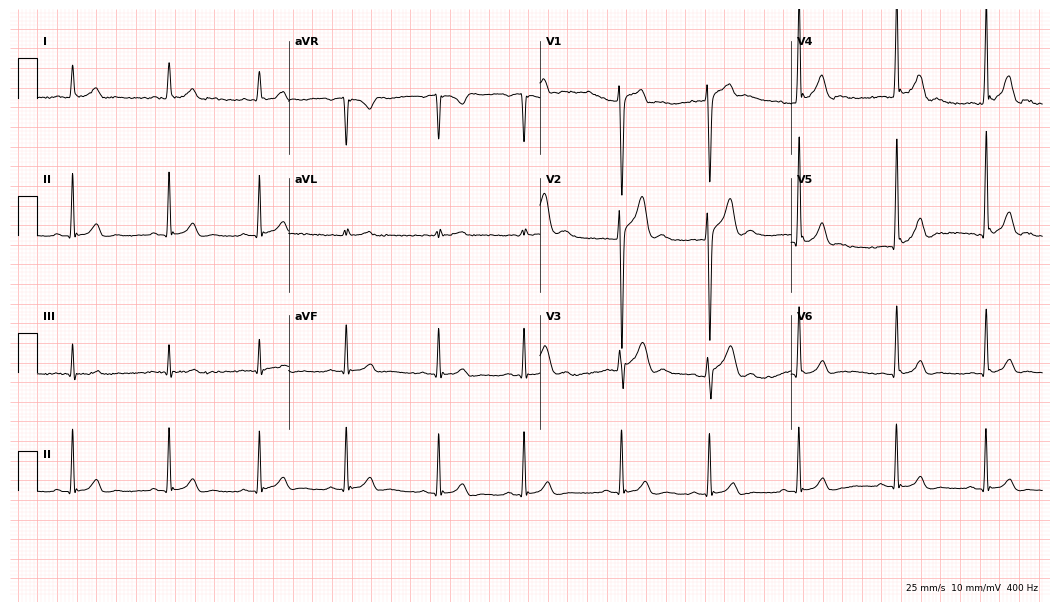
Electrocardiogram (10.2-second recording at 400 Hz), a 22-year-old male patient. Overall reading on record: normal ECG.